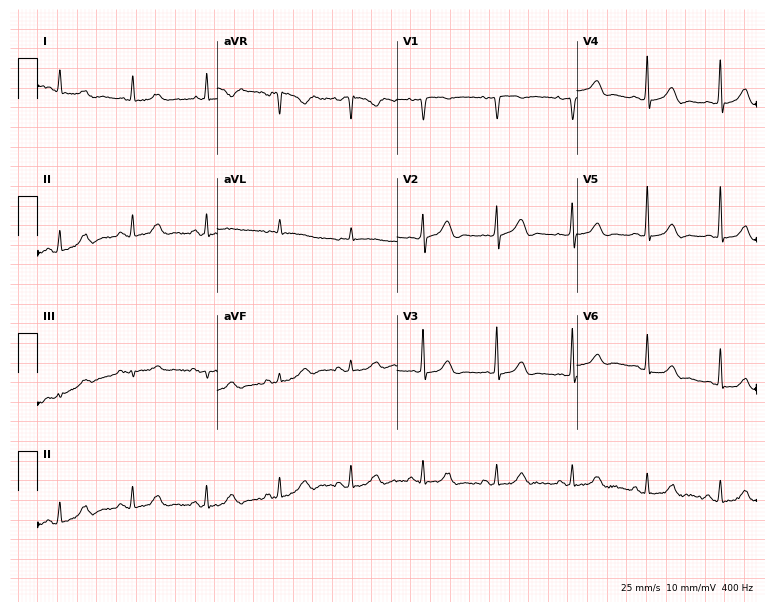
Electrocardiogram (7.3-second recording at 400 Hz), a female, 79 years old. Of the six screened findings (first-degree AV block, right bundle branch block (RBBB), left bundle branch block (LBBB), sinus bradycardia, atrial fibrillation (AF), sinus tachycardia), none is recorded. Other findings, if any, are not listed.